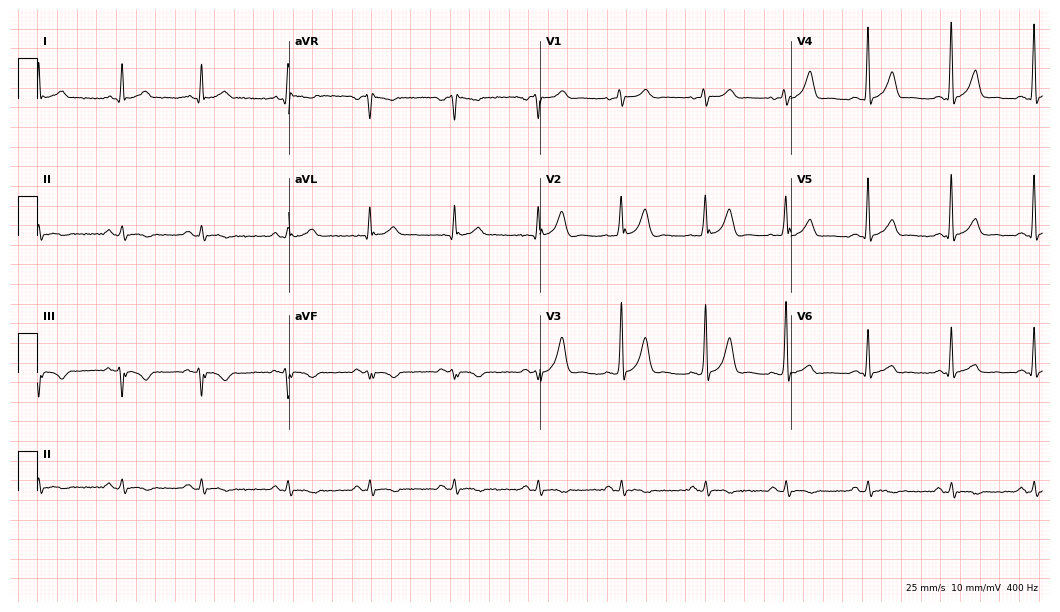
12-lead ECG (10.2-second recording at 400 Hz) from a 43-year-old male. Screened for six findings — first-degree AV block, right bundle branch block (RBBB), left bundle branch block (LBBB), sinus bradycardia, atrial fibrillation (AF), sinus tachycardia — none is recorded.